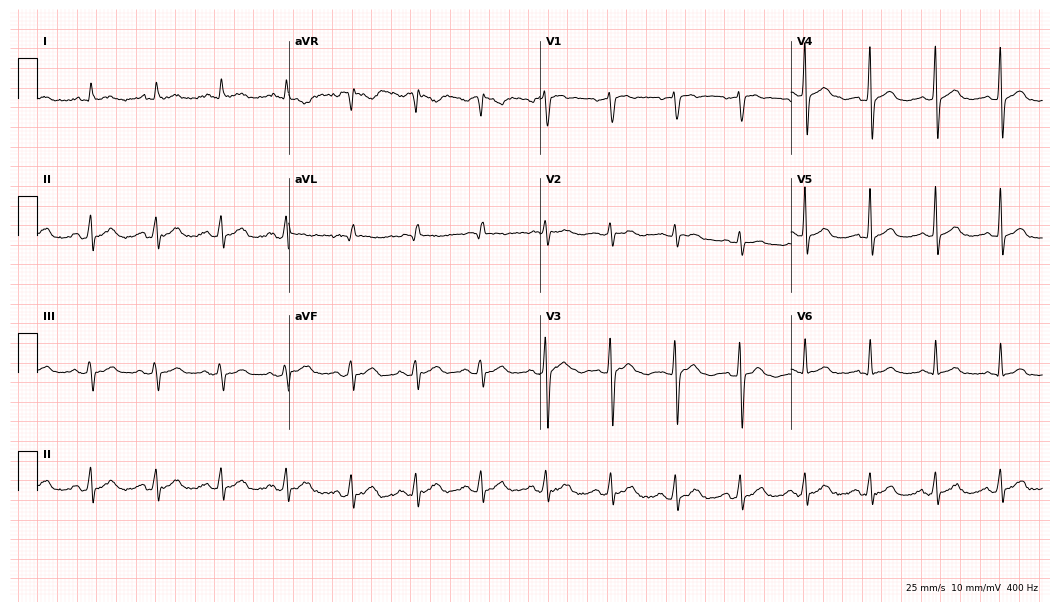
12-lead ECG (10.2-second recording at 400 Hz) from a 57-year-old male. Labelled as a normal ECG.